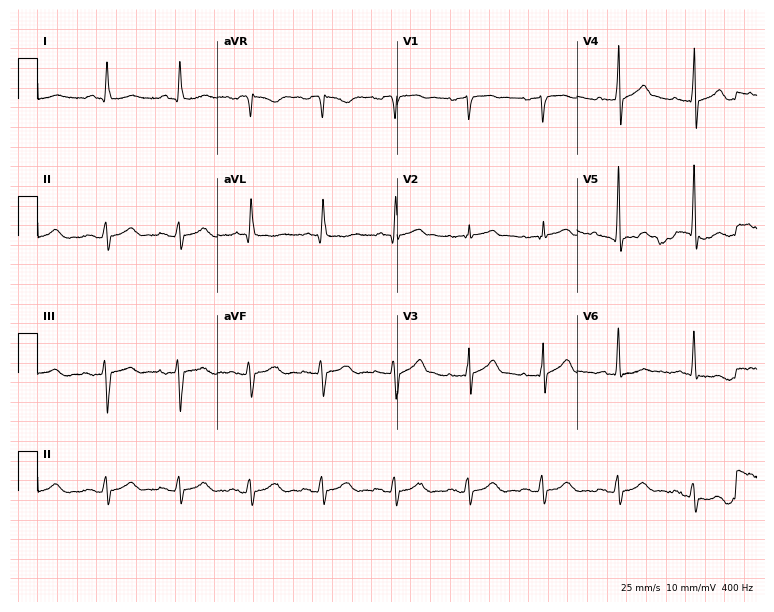
Electrocardiogram (7.3-second recording at 400 Hz), a 73-year-old man. Overall reading on record: normal ECG.